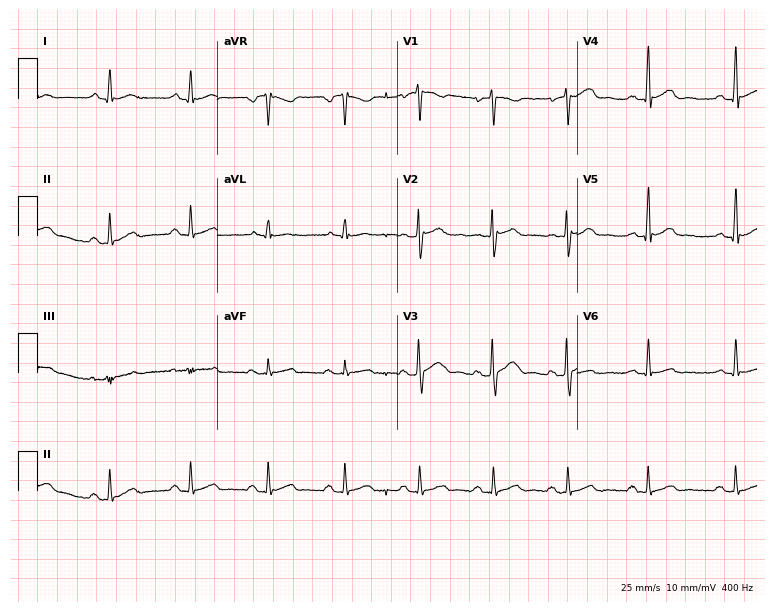
12-lead ECG from a 29-year-old male patient. Recorded interpretation: within normal limits.